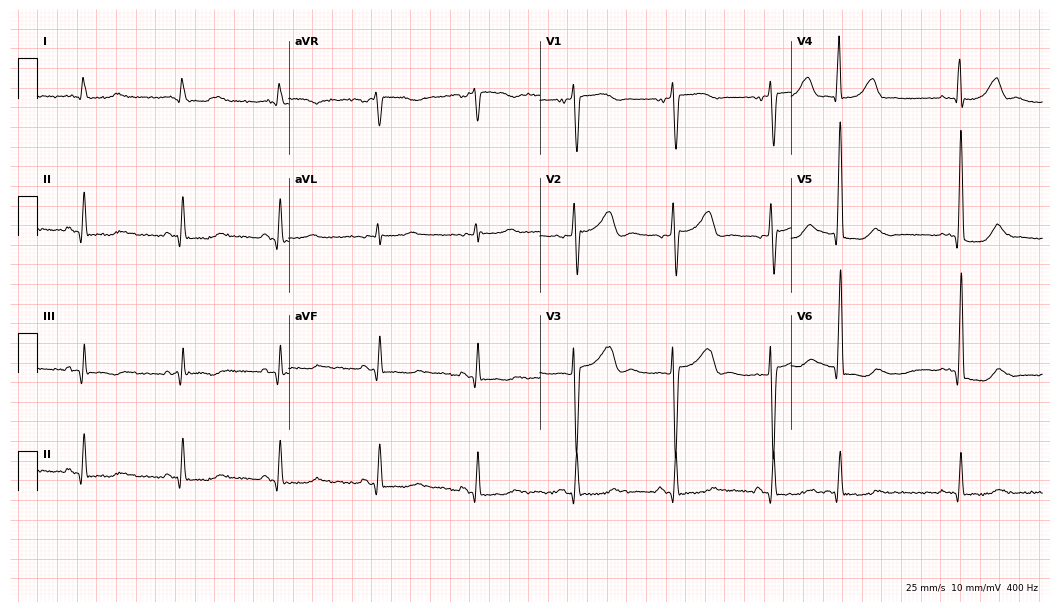
ECG — a man, 84 years old. Screened for six findings — first-degree AV block, right bundle branch block (RBBB), left bundle branch block (LBBB), sinus bradycardia, atrial fibrillation (AF), sinus tachycardia — none is recorded.